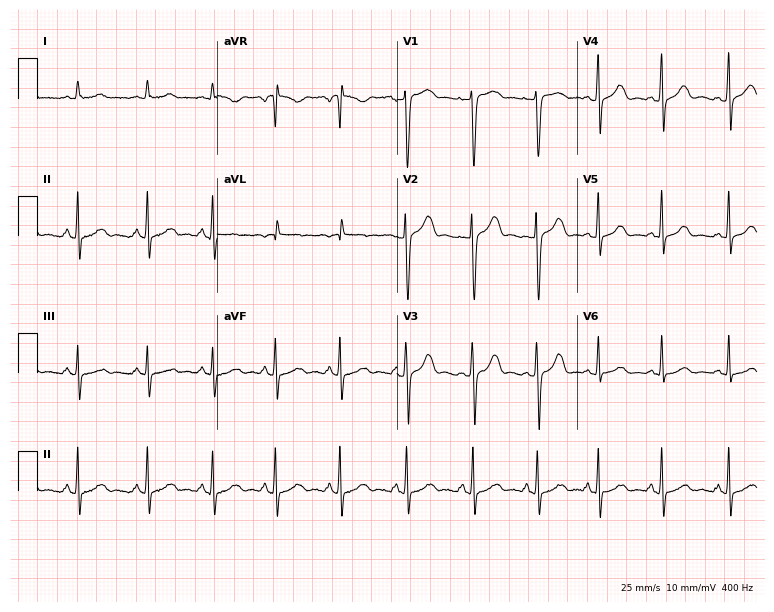
ECG (7.3-second recording at 400 Hz) — a woman, 28 years old. Screened for six findings — first-degree AV block, right bundle branch block (RBBB), left bundle branch block (LBBB), sinus bradycardia, atrial fibrillation (AF), sinus tachycardia — none is recorded. Findings outside these six are not listed.